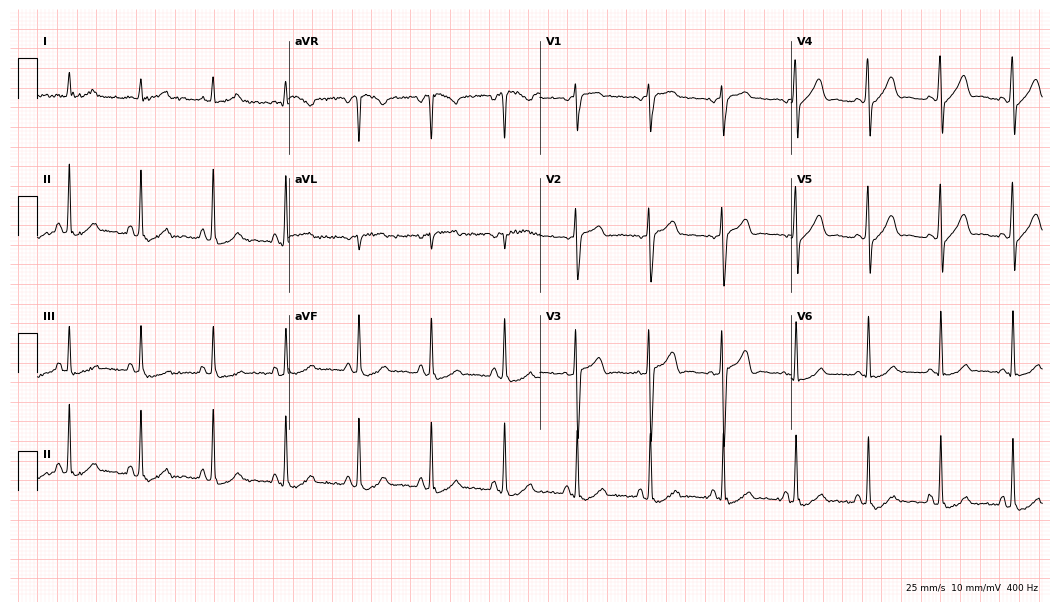
Electrocardiogram, a male, 34 years old. Overall reading on record: normal ECG.